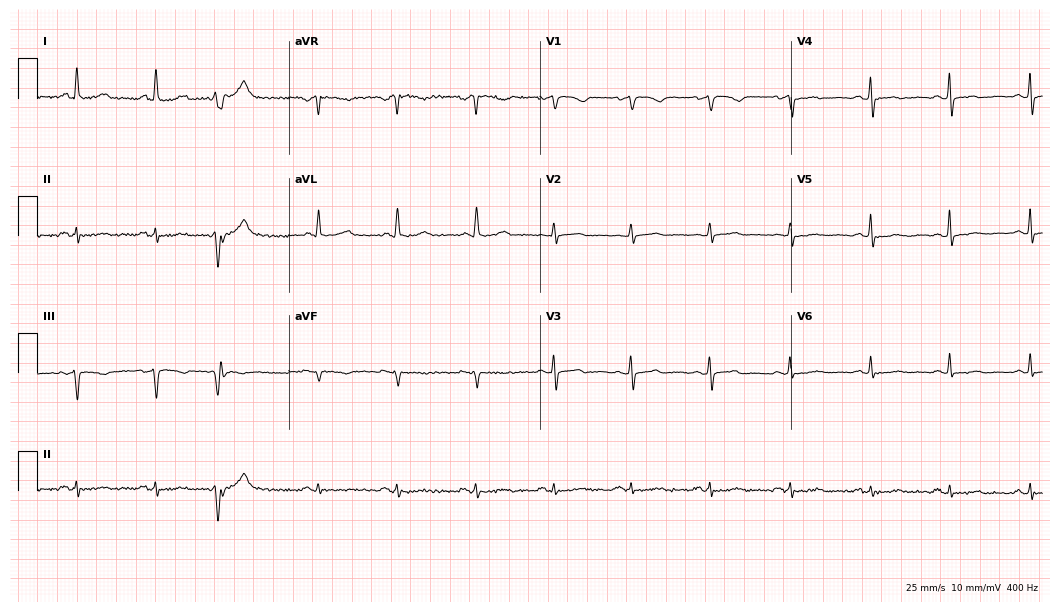
12-lead ECG from a 68-year-old female patient. No first-degree AV block, right bundle branch block (RBBB), left bundle branch block (LBBB), sinus bradycardia, atrial fibrillation (AF) or sinus tachycardia recorded for this tracing. Findings outside these six are not listed.